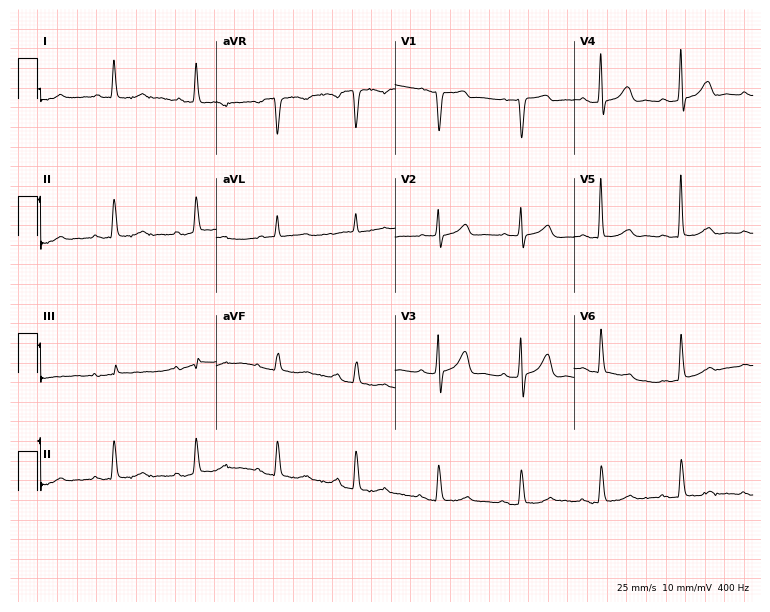
Resting 12-lead electrocardiogram. Patient: a female, 89 years old. Read as a normal ECG.